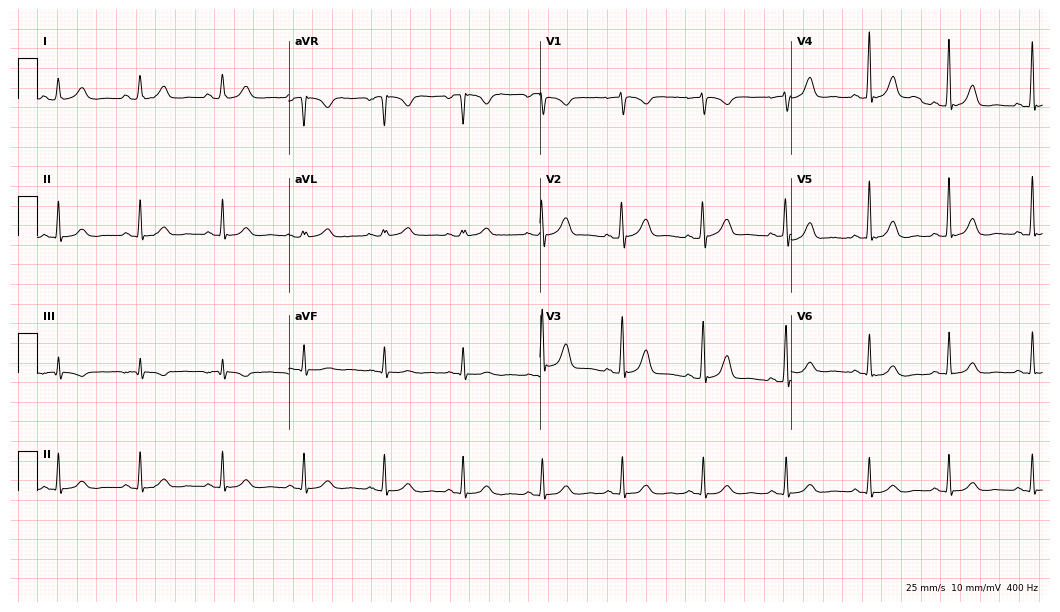
12-lead ECG from a female, 41 years old. Recorded interpretation: within normal limits.